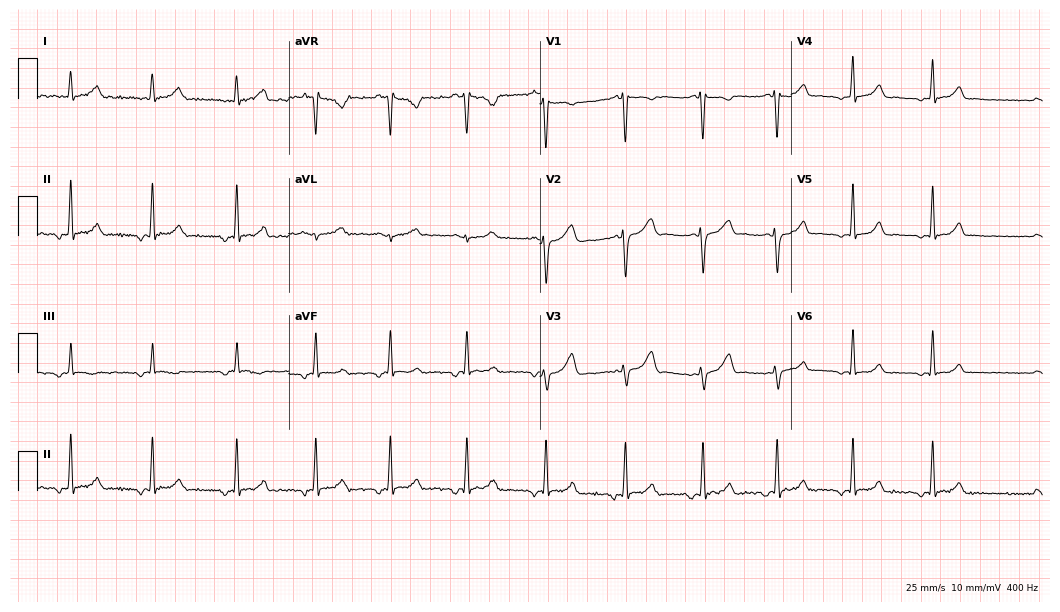
Standard 12-lead ECG recorded from a 31-year-old female (10.2-second recording at 400 Hz). None of these six findings is recorded: first-degree AV block, right bundle branch block (RBBB), left bundle branch block (LBBB), sinus bradycardia, atrial fibrillation (AF), sinus tachycardia.